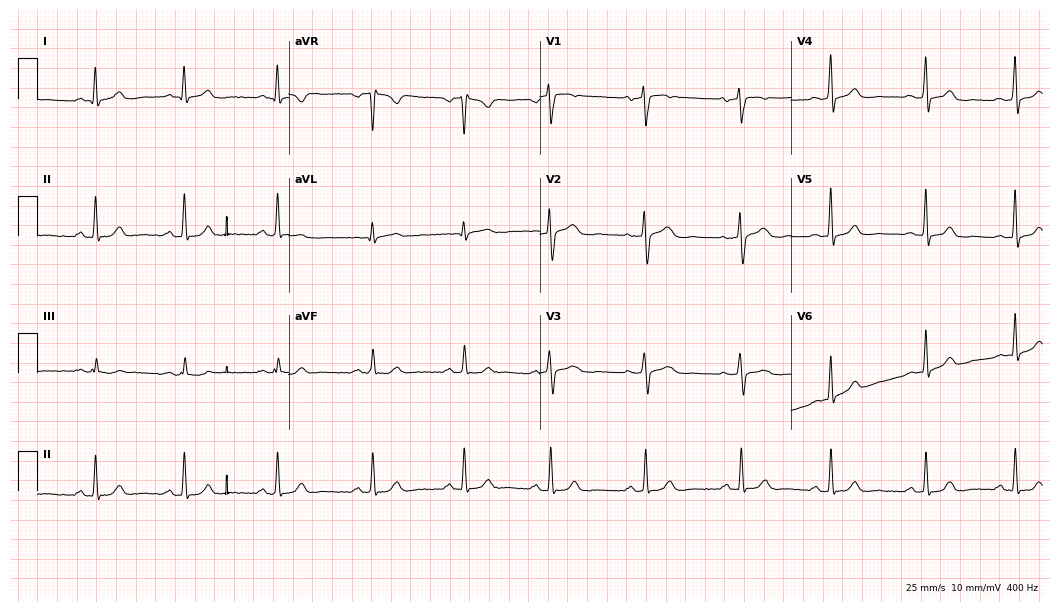
12-lead ECG from a 42-year-old female (10.2-second recording at 400 Hz). Recorded interpretation: within normal limits.